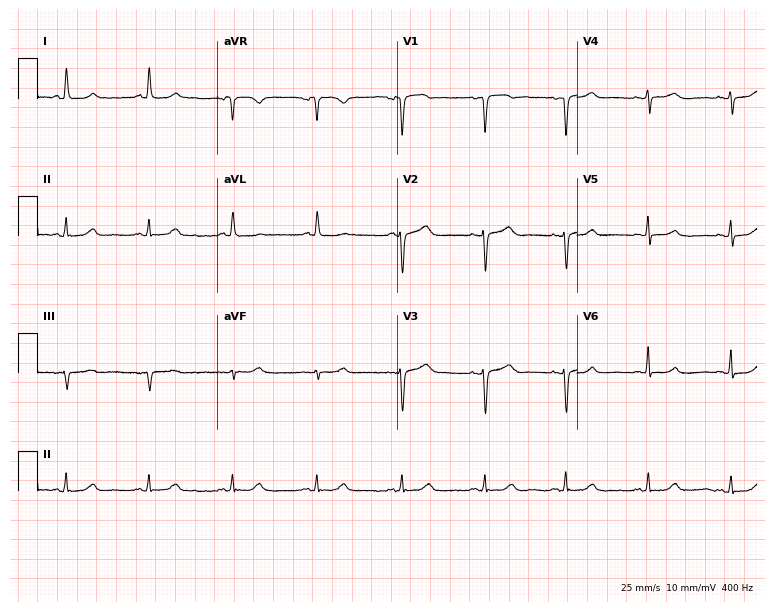
12-lead ECG (7.3-second recording at 400 Hz) from a 61-year-old female patient. Labelled as a normal ECG.